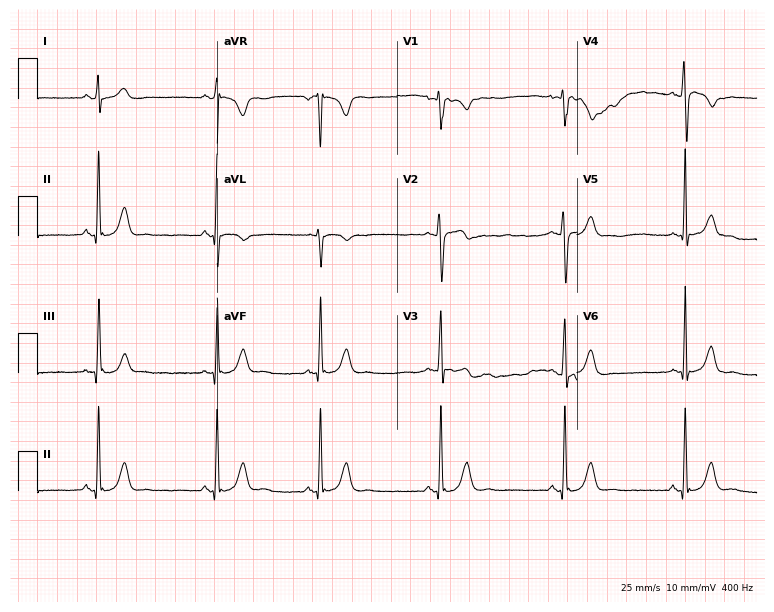
Electrocardiogram (7.3-second recording at 400 Hz), a 24-year-old male. Interpretation includes sinus bradycardia (a sinus rate of 50 beats per minute or less).